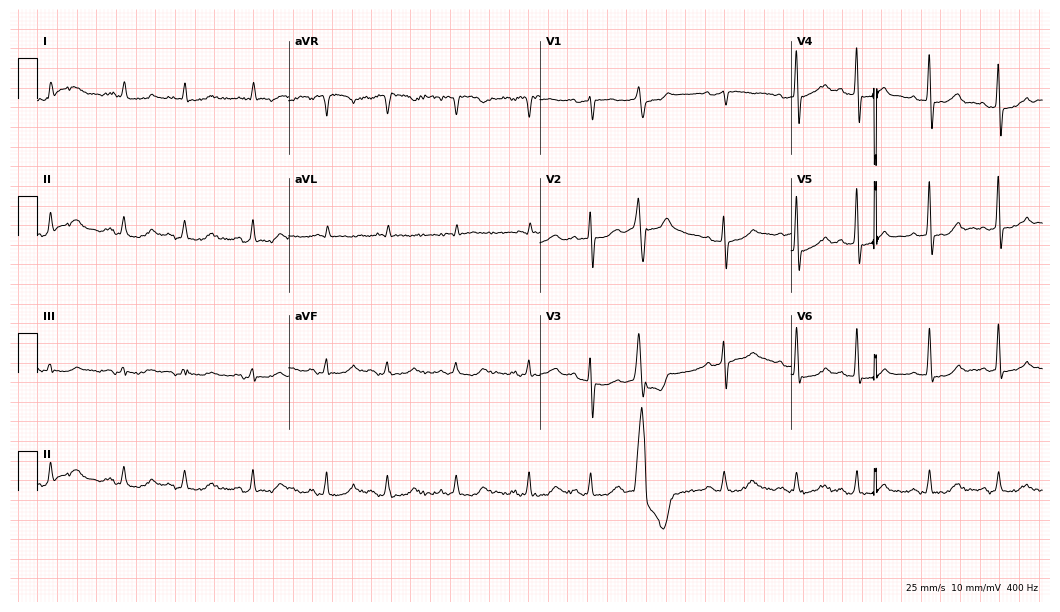
Electrocardiogram, a male patient, 81 years old. Of the six screened findings (first-degree AV block, right bundle branch block, left bundle branch block, sinus bradycardia, atrial fibrillation, sinus tachycardia), none is recorded. Other findings, if any, are not listed.